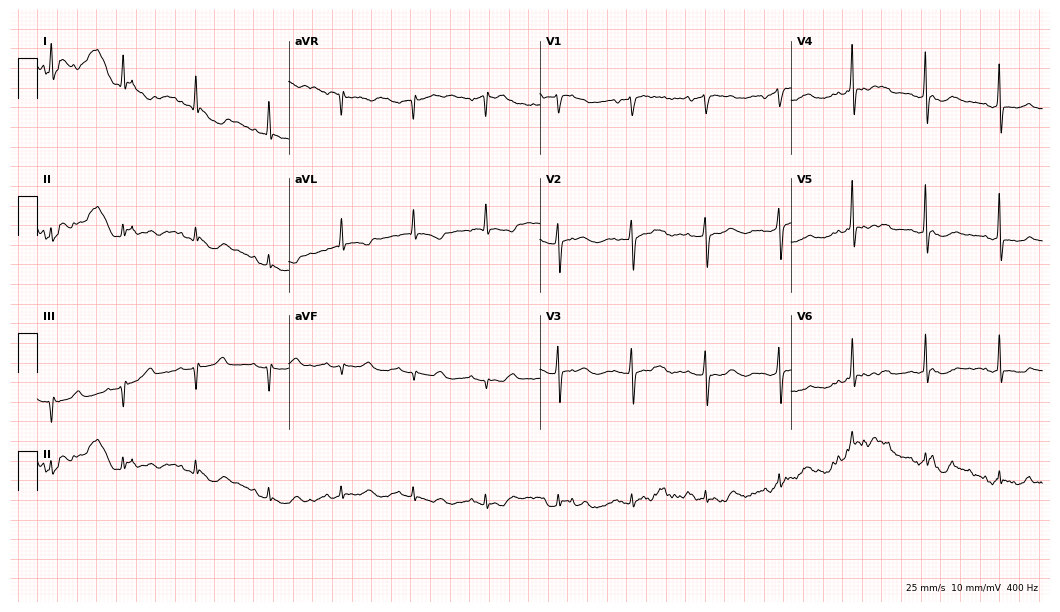
12-lead ECG from a 57-year-old female patient. No first-degree AV block, right bundle branch block, left bundle branch block, sinus bradycardia, atrial fibrillation or sinus tachycardia recorded for this tracing.